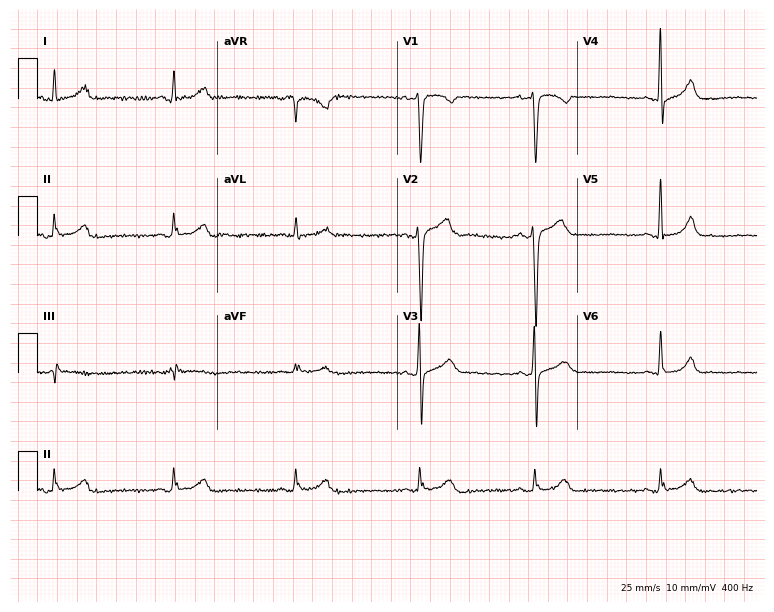
Electrocardiogram, a 33-year-old male. Interpretation includes sinus bradycardia (a sinus rate of 50 beats per minute or less).